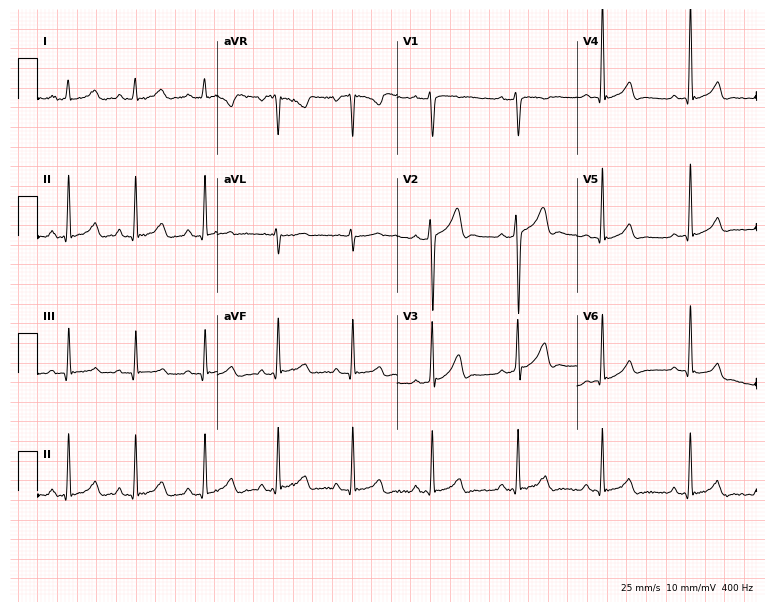
12-lead ECG from a 25-year-old male patient. No first-degree AV block, right bundle branch block (RBBB), left bundle branch block (LBBB), sinus bradycardia, atrial fibrillation (AF) or sinus tachycardia recorded for this tracing. Other findings, if any, are not listed.